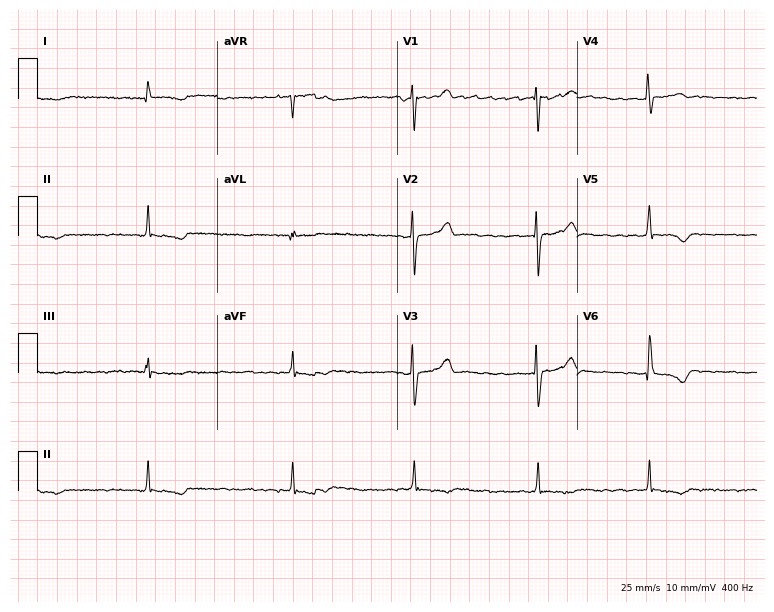
Resting 12-lead electrocardiogram. Patient: a woman, 78 years old. The tracing shows atrial fibrillation (AF).